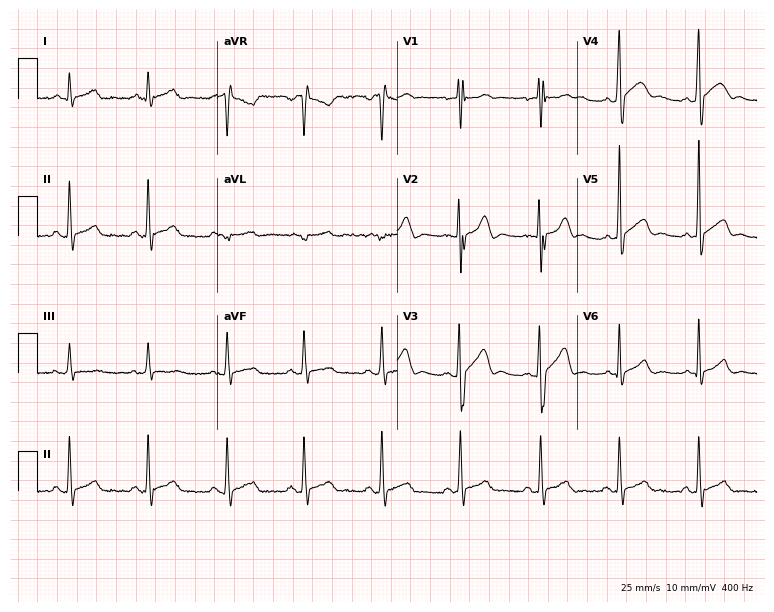
Electrocardiogram, a 21-year-old male patient. Of the six screened findings (first-degree AV block, right bundle branch block (RBBB), left bundle branch block (LBBB), sinus bradycardia, atrial fibrillation (AF), sinus tachycardia), none is recorded. Other findings, if any, are not listed.